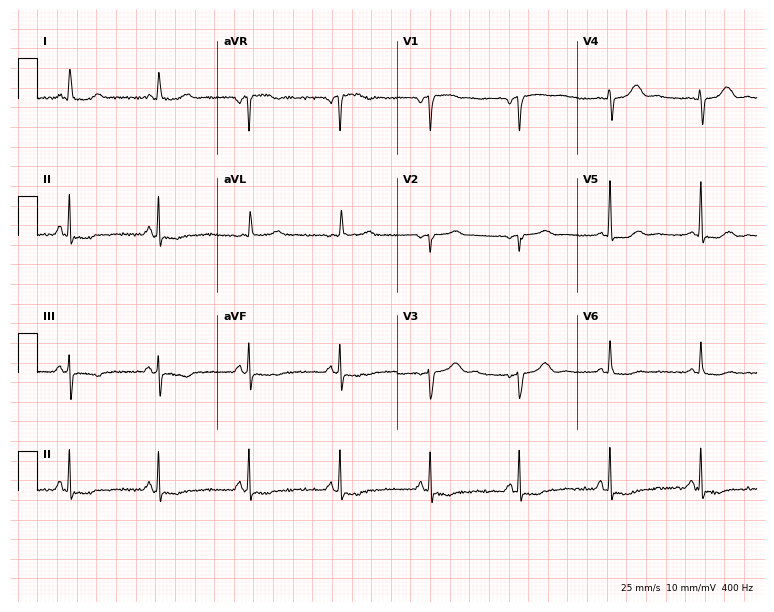
Resting 12-lead electrocardiogram (7.3-second recording at 400 Hz). Patient: a 75-year-old female. None of these six findings is recorded: first-degree AV block, right bundle branch block, left bundle branch block, sinus bradycardia, atrial fibrillation, sinus tachycardia. Only these six findings were labelled.